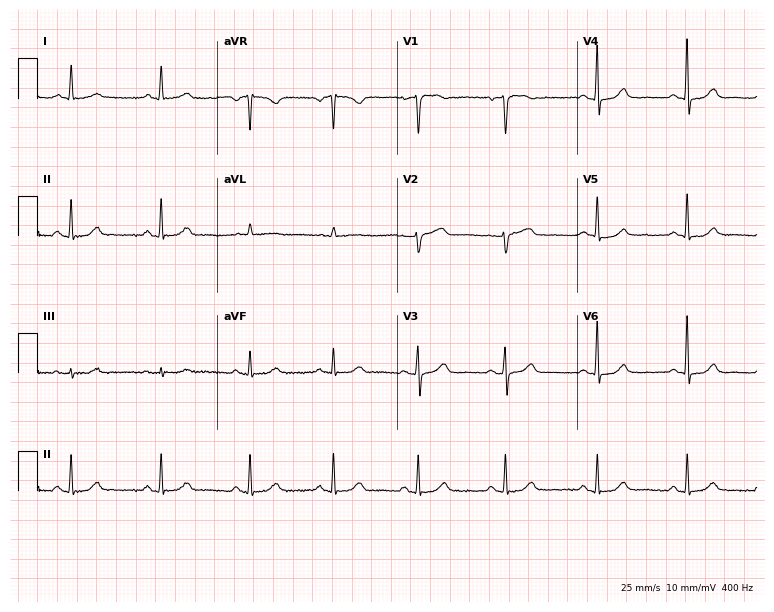
12-lead ECG from a 52-year-old female patient. Labelled as a normal ECG.